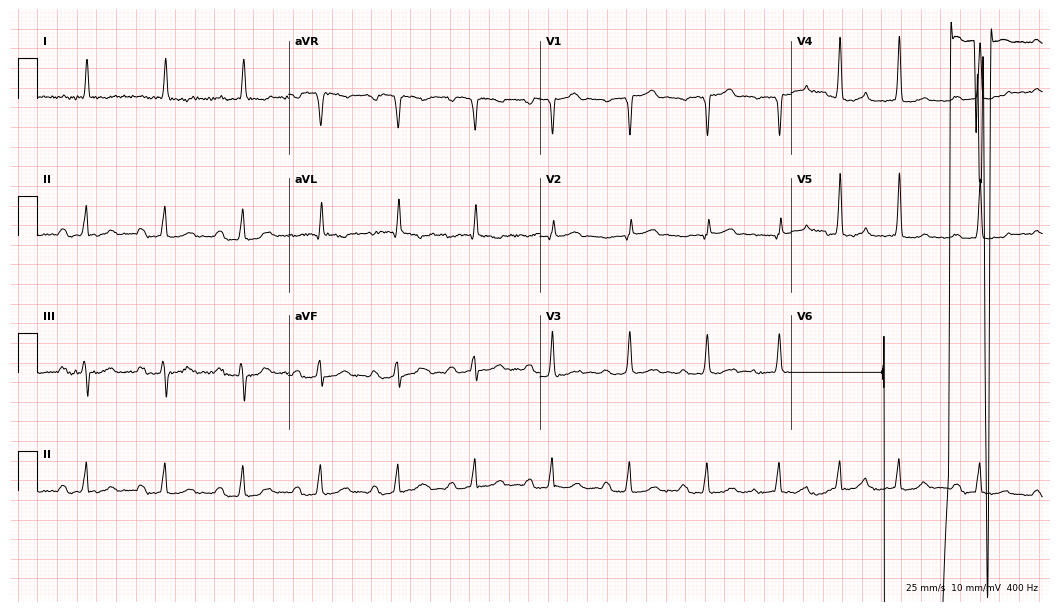
Resting 12-lead electrocardiogram. Patient: a male, 73 years old. None of these six findings is recorded: first-degree AV block, right bundle branch block, left bundle branch block, sinus bradycardia, atrial fibrillation, sinus tachycardia.